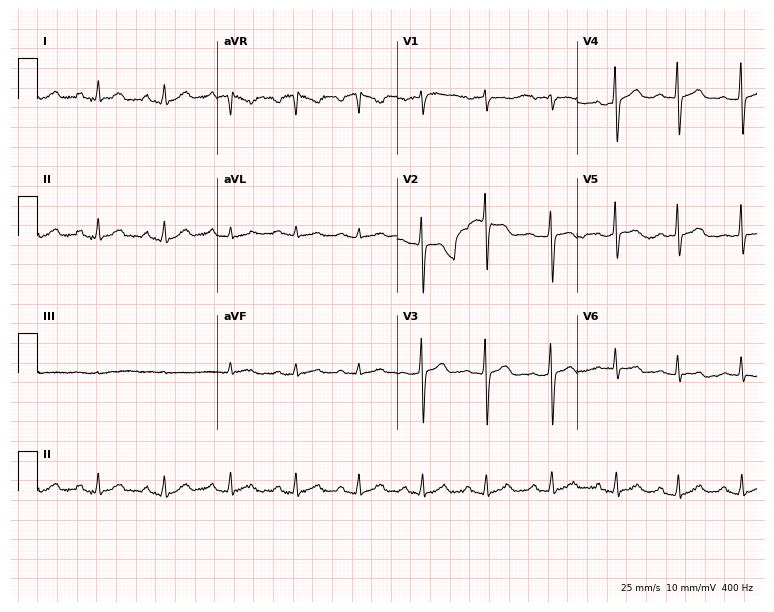
12-lead ECG (7.3-second recording at 400 Hz) from a 55-year-old woman. Labelled as a normal ECG.